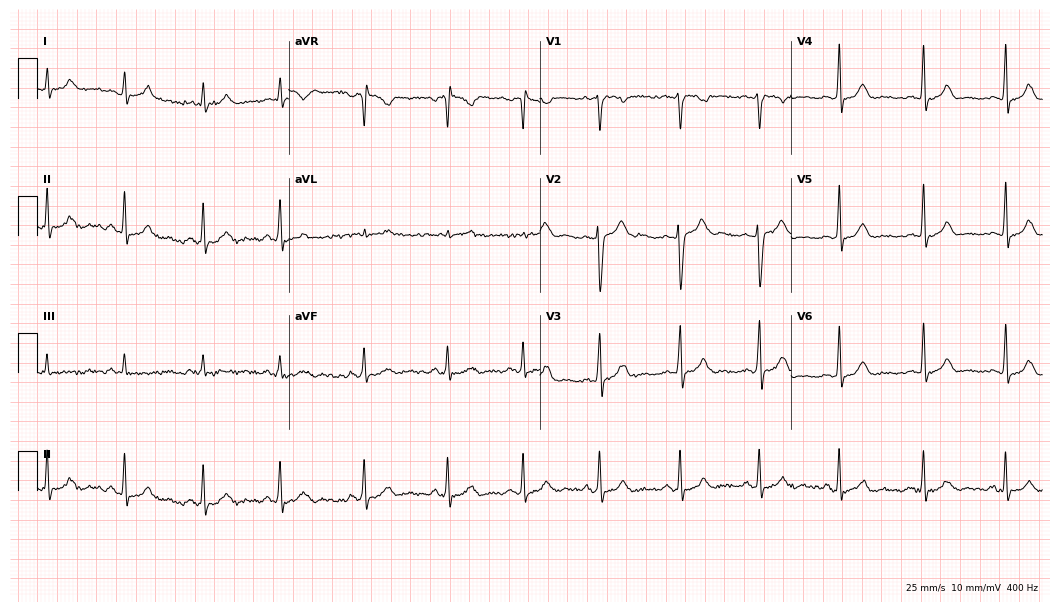
ECG (10.2-second recording at 400 Hz) — a 24-year-old female patient. Labelled as a normal ECG.